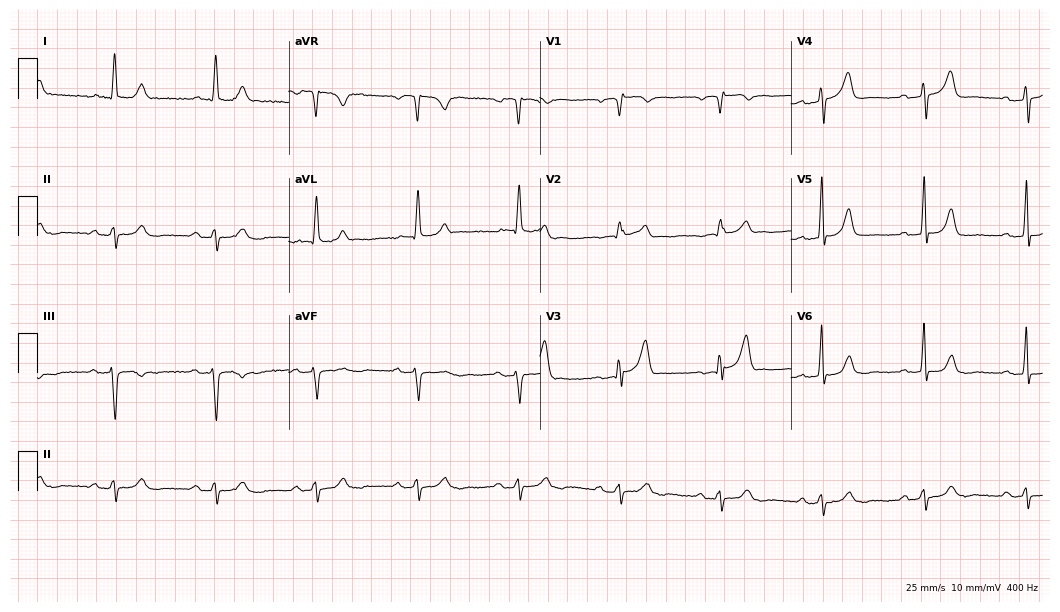
Resting 12-lead electrocardiogram (10.2-second recording at 400 Hz). Patient: a 74-year-old male. None of these six findings is recorded: first-degree AV block, right bundle branch block, left bundle branch block, sinus bradycardia, atrial fibrillation, sinus tachycardia.